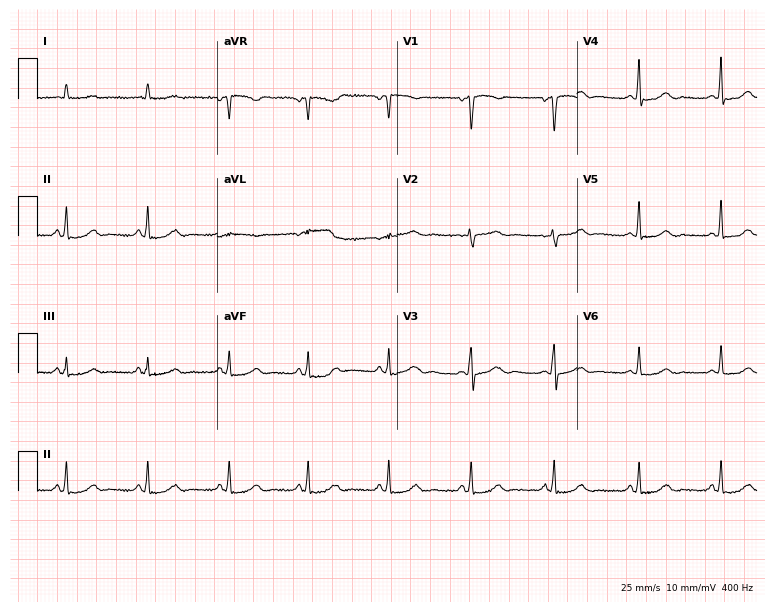
Resting 12-lead electrocardiogram. Patient: a 44-year-old female. None of these six findings is recorded: first-degree AV block, right bundle branch block (RBBB), left bundle branch block (LBBB), sinus bradycardia, atrial fibrillation (AF), sinus tachycardia.